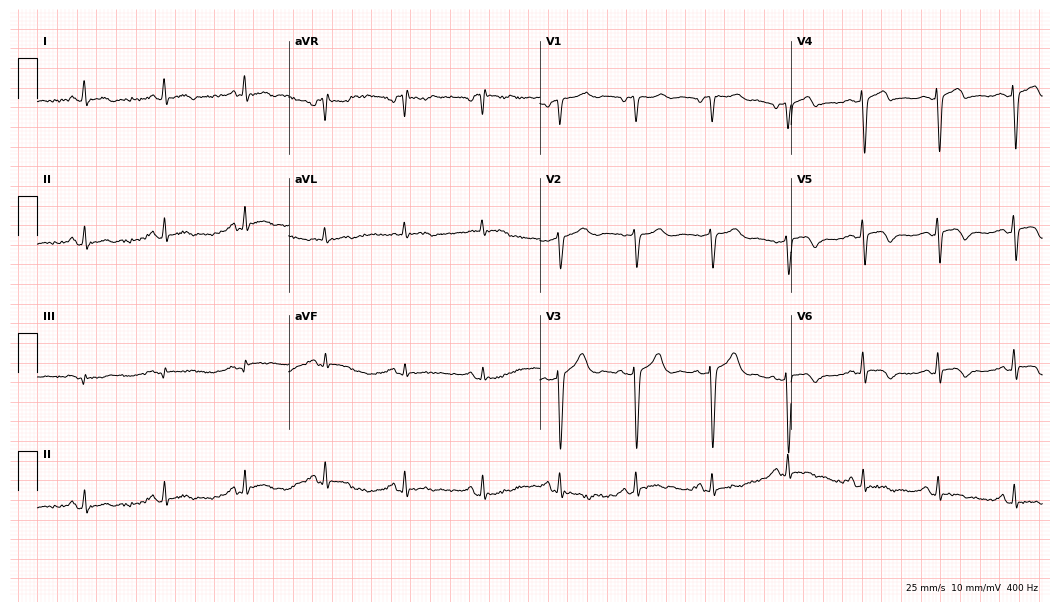
12-lead ECG from a male patient, 69 years old. Screened for six findings — first-degree AV block, right bundle branch block (RBBB), left bundle branch block (LBBB), sinus bradycardia, atrial fibrillation (AF), sinus tachycardia — none is recorded.